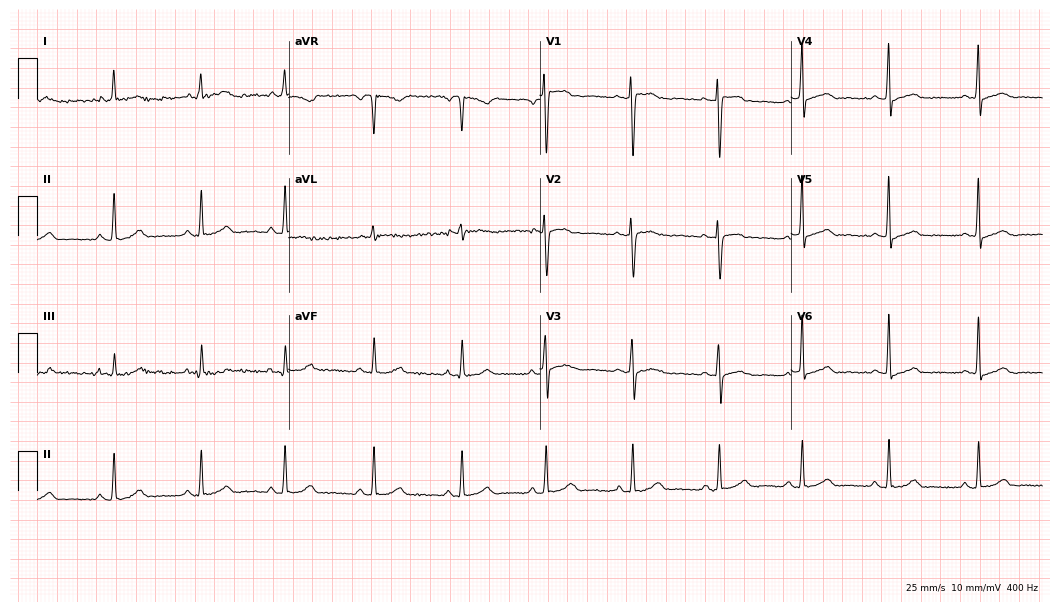
Electrocardiogram (10.2-second recording at 400 Hz), a 44-year-old female patient. Overall reading on record: normal ECG.